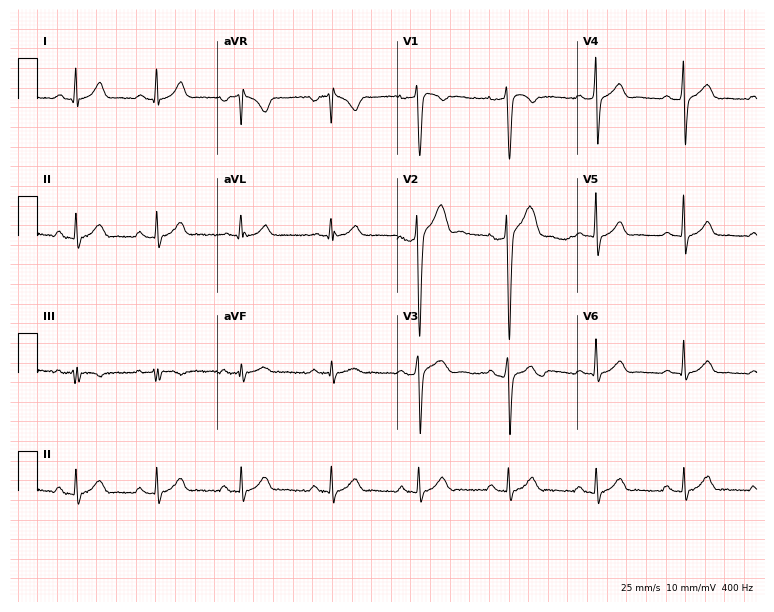
Resting 12-lead electrocardiogram (7.3-second recording at 400 Hz). Patient: a man, 33 years old. None of these six findings is recorded: first-degree AV block, right bundle branch block (RBBB), left bundle branch block (LBBB), sinus bradycardia, atrial fibrillation (AF), sinus tachycardia. Only these six findings were labelled.